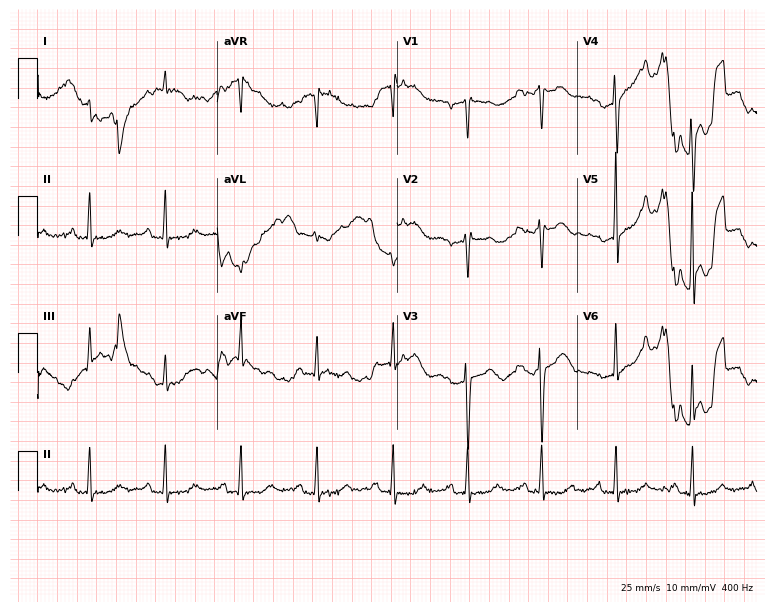
Standard 12-lead ECG recorded from a 67-year-old woman. None of these six findings is recorded: first-degree AV block, right bundle branch block (RBBB), left bundle branch block (LBBB), sinus bradycardia, atrial fibrillation (AF), sinus tachycardia. Only these six findings were labelled.